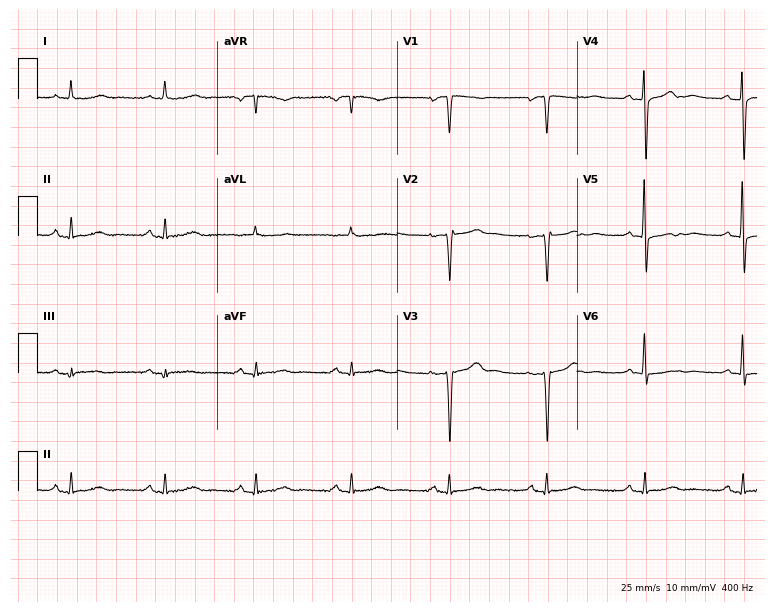
Electrocardiogram (7.3-second recording at 400 Hz), a woman, 78 years old. Overall reading on record: normal ECG.